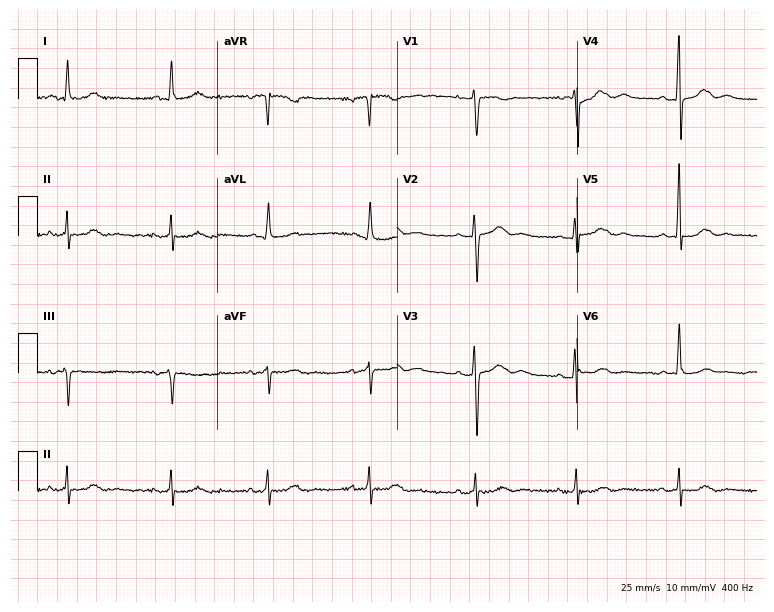
Electrocardiogram, a 69-year-old female. Of the six screened findings (first-degree AV block, right bundle branch block (RBBB), left bundle branch block (LBBB), sinus bradycardia, atrial fibrillation (AF), sinus tachycardia), none is recorded. Other findings, if any, are not listed.